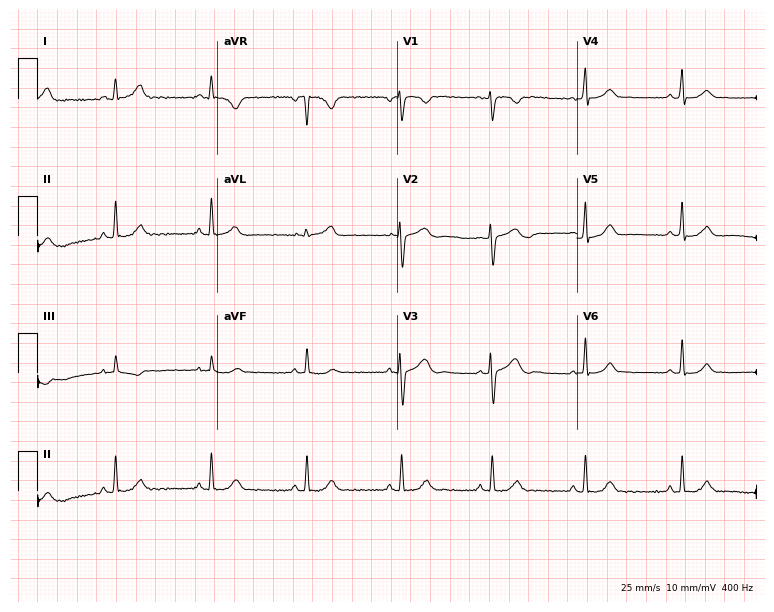
Standard 12-lead ECG recorded from a 24-year-old female patient. None of these six findings is recorded: first-degree AV block, right bundle branch block (RBBB), left bundle branch block (LBBB), sinus bradycardia, atrial fibrillation (AF), sinus tachycardia.